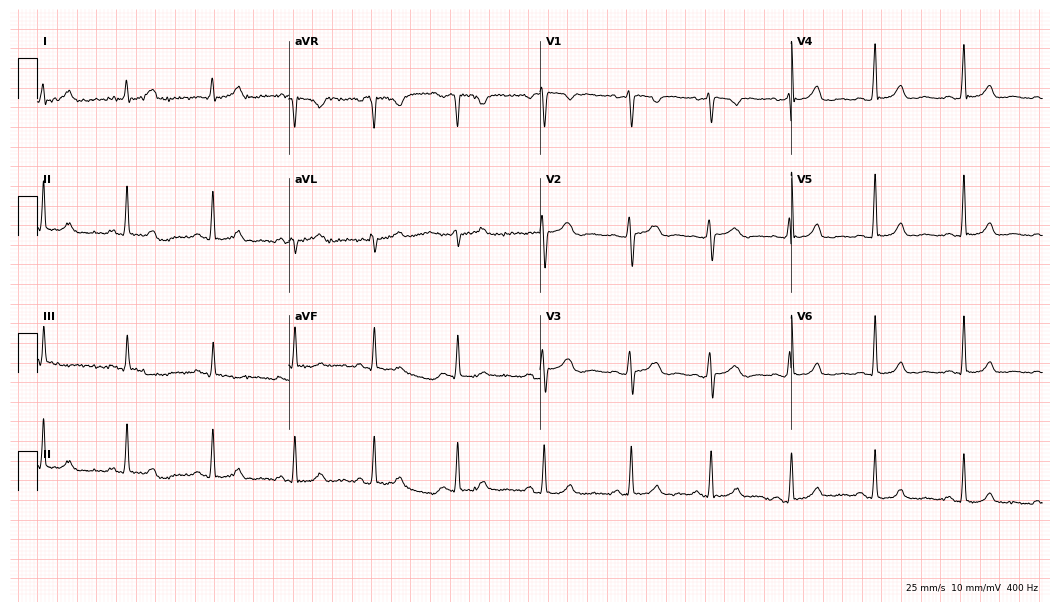
Resting 12-lead electrocardiogram (10.2-second recording at 400 Hz). Patient: a woman, 26 years old. None of these six findings is recorded: first-degree AV block, right bundle branch block, left bundle branch block, sinus bradycardia, atrial fibrillation, sinus tachycardia. Only these six findings were labelled.